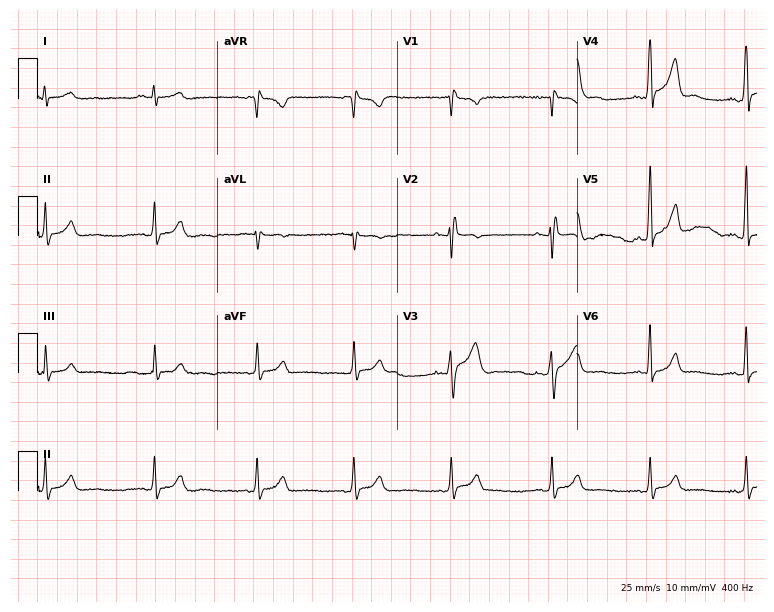
Electrocardiogram, a male, 43 years old. Of the six screened findings (first-degree AV block, right bundle branch block (RBBB), left bundle branch block (LBBB), sinus bradycardia, atrial fibrillation (AF), sinus tachycardia), none is recorded.